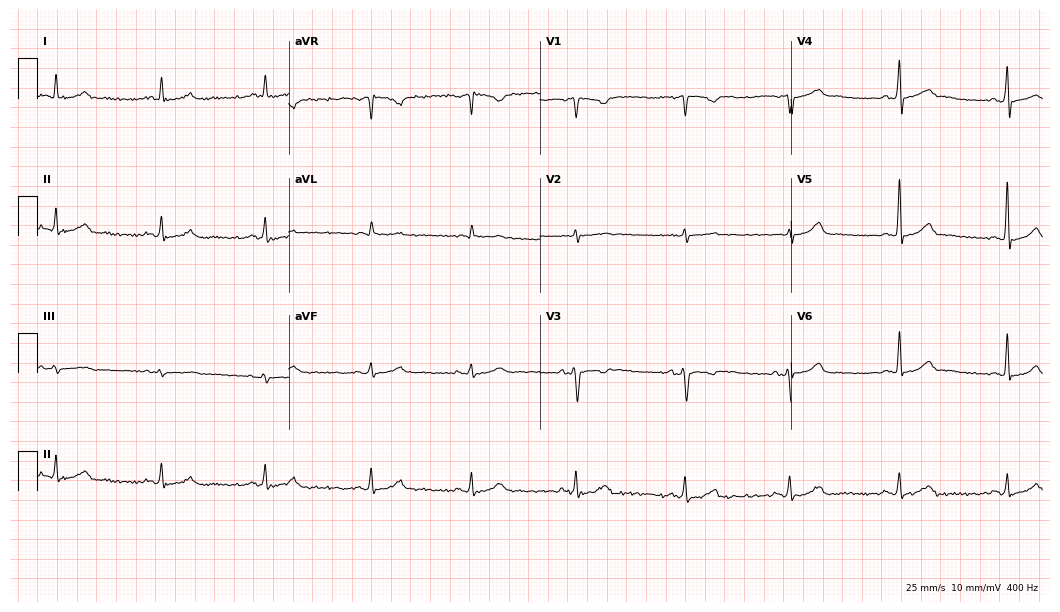
ECG (10.2-second recording at 400 Hz) — a 53-year-old man. Labelled as a normal ECG.